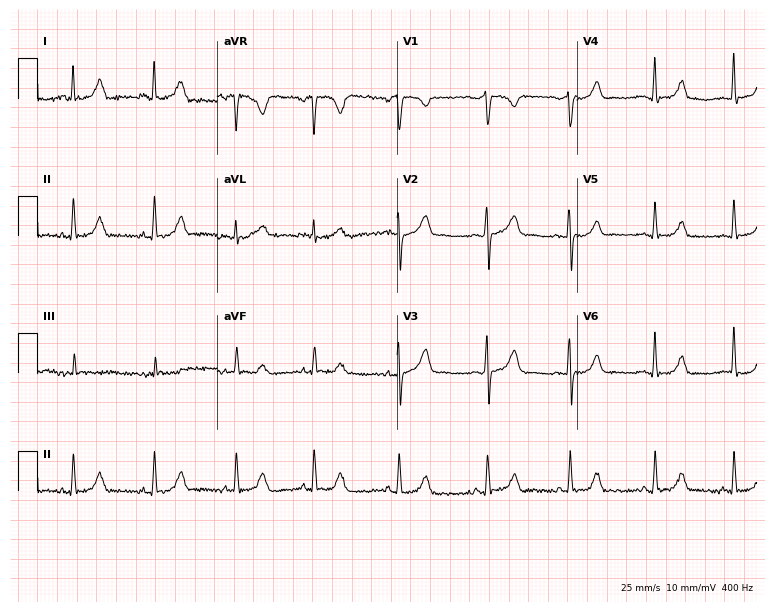
12-lead ECG from a 23-year-old female patient. Screened for six findings — first-degree AV block, right bundle branch block, left bundle branch block, sinus bradycardia, atrial fibrillation, sinus tachycardia — none is recorded.